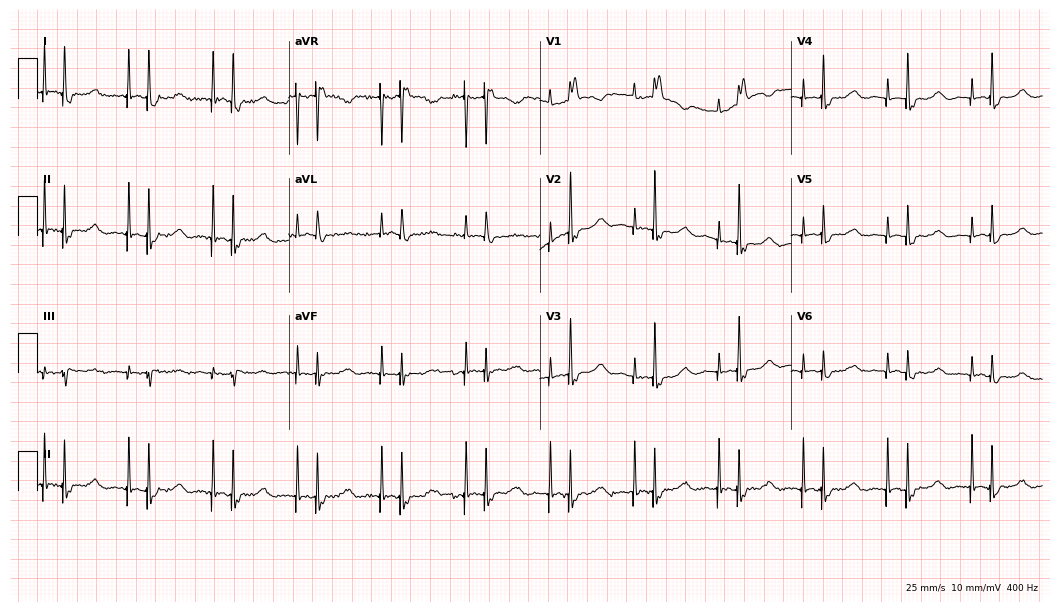
Standard 12-lead ECG recorded from an 84-year-old female. None of these six findings is recorded: first-degree AV block, right bundle branch block, left bundle branch block, sinus bradycardia, atrial fibrillation, sinus tachycardia. Other findings, if any, are not listed.